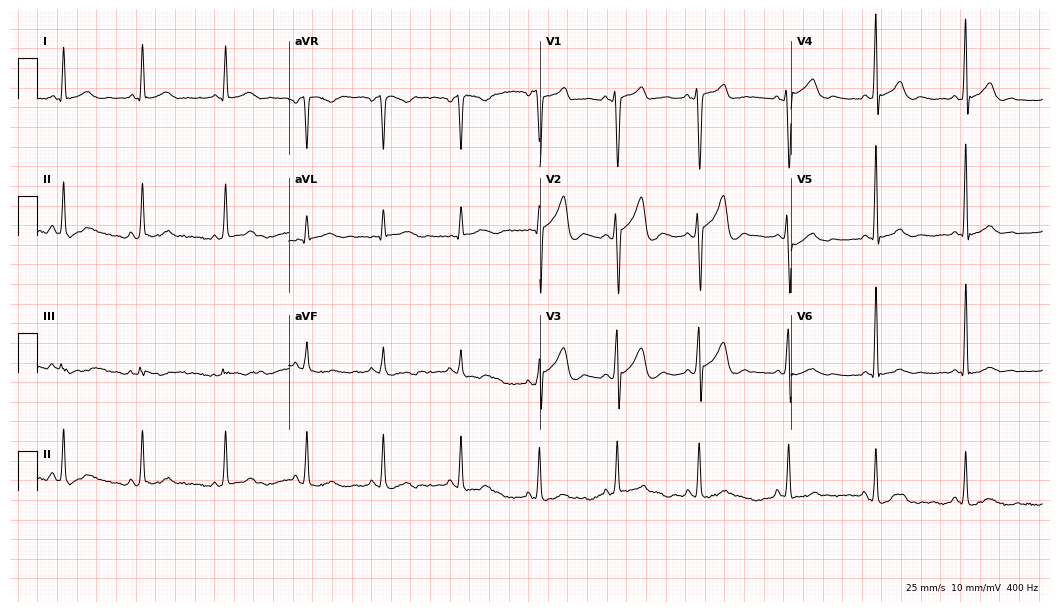
ECG — a 29-year-old man. Screened for six findings — first-degree AV block, right bundle branch block, left bundle branch block, sinus bradycardia, atrial fibrillation, sinus tachycardia — none is recorded. Other findings, if any, are not listed.